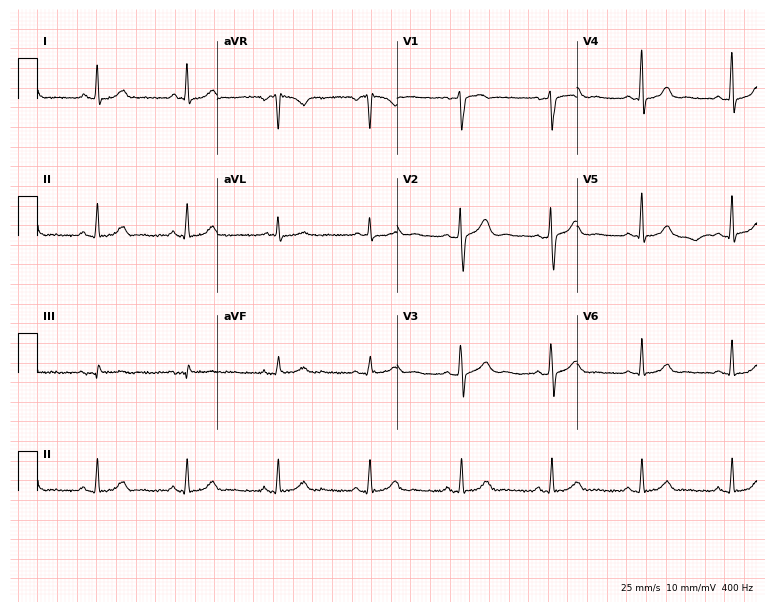
12-lead ECG from a 51-year-old male patient. Recorded interpretation: within normal limits.